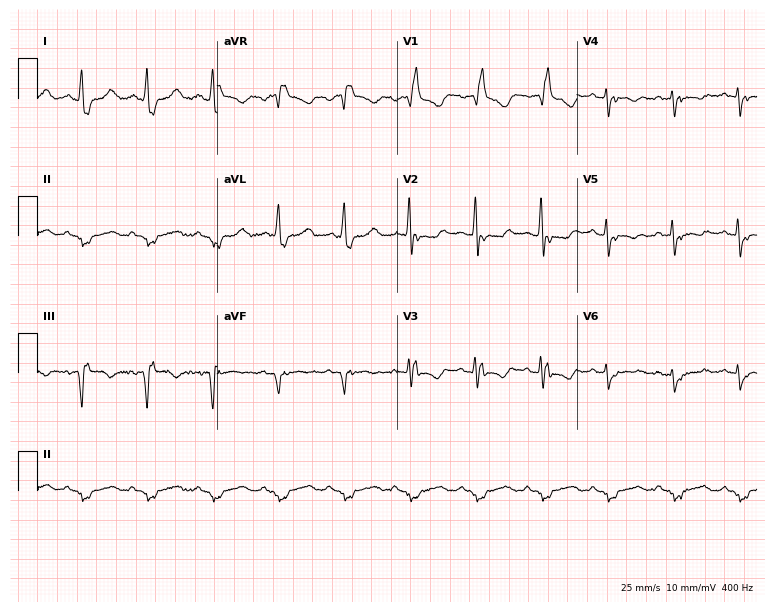
Standard 12-lead ECG recorded from a female, 69 years old (7.3-second recording at 400 Hz). The tracing shows right bundle branch block.